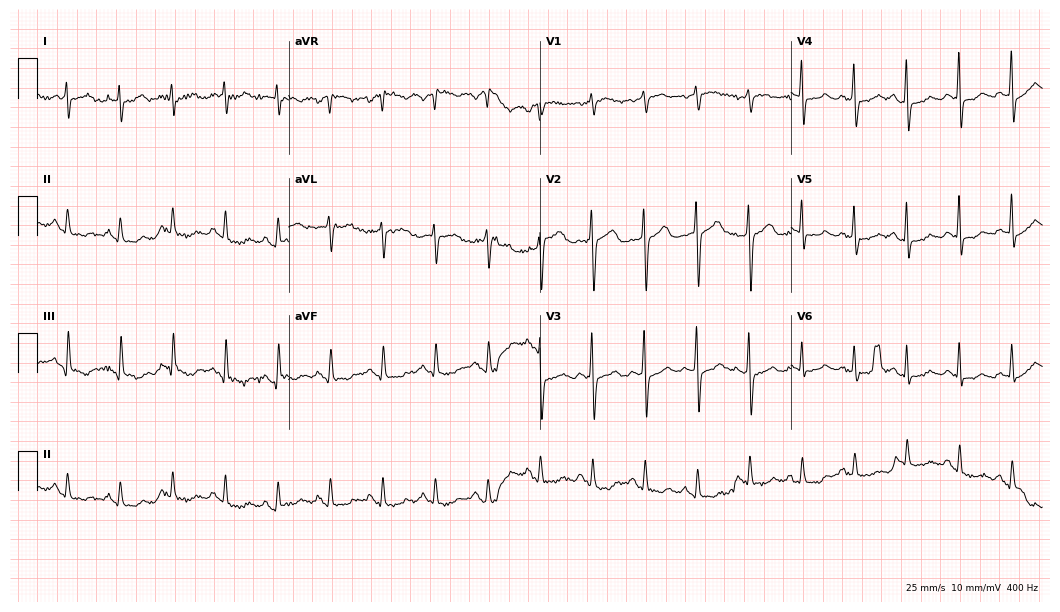
12-lead ECG from a 60-year-old female patient. Shows sinus tachycardia (a sinus rate of 100 beats per minute or more).